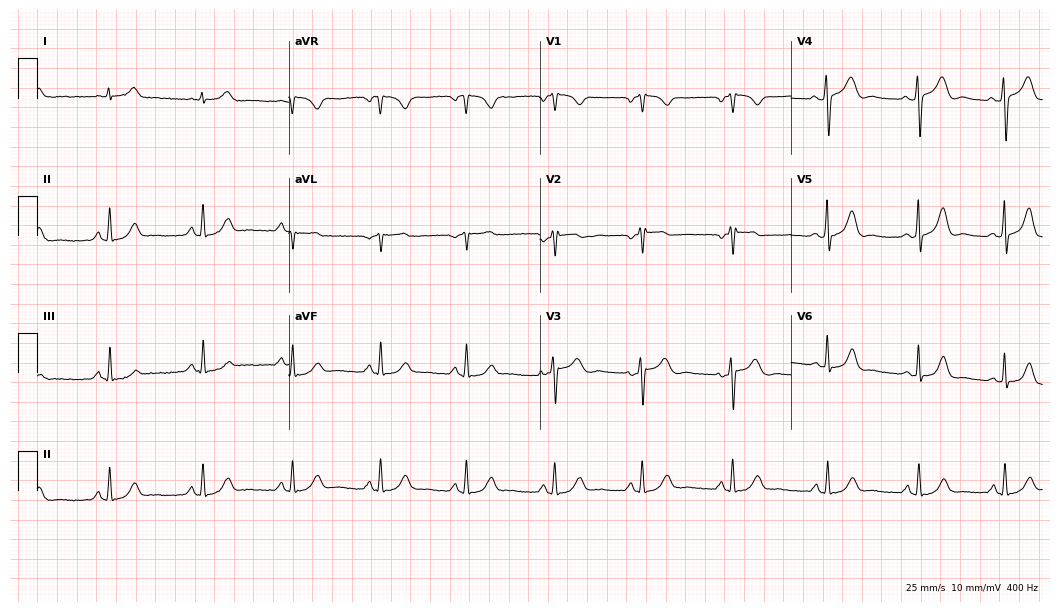
Electrocardiogram (10.2-second recording at 400 Hz), a female patient, 47 years old. Overall reading on record: normal ECG.